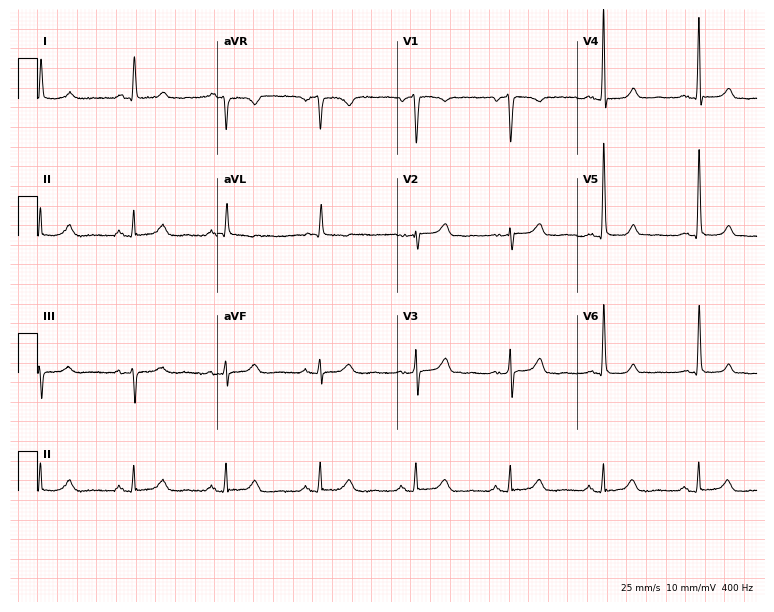
12-lead ECG from a 78-year-old woman (7.3-second recording at 400 Hz). Recorded interpretation: within normal limits.